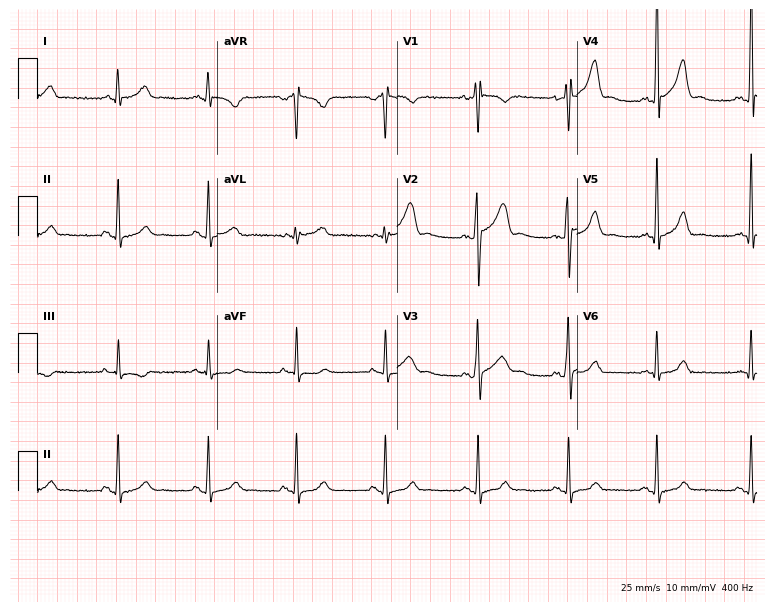
12-lead ECG from a man, 36 years old. Screened for six findings — first-degree AV block, right bundle branch block, left bundle branch block, sinus bradycardia, atrial fibrillation, sinus tachycardia — none is recorded.